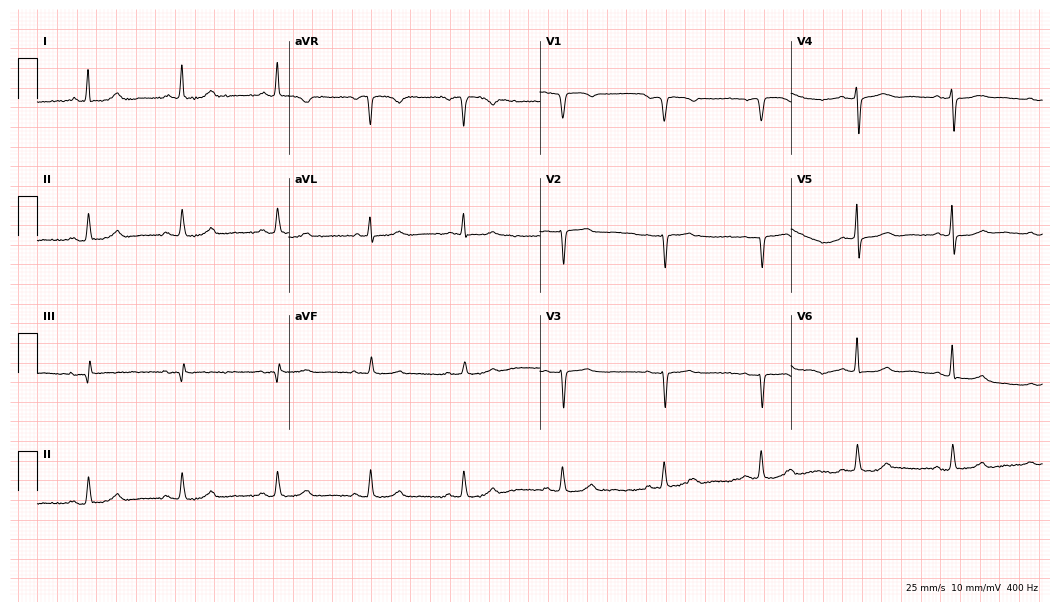
12-lead ECG from a woman, 61 years old. Screened for six findings — first-degree AV block, right bundle branch block (RBBB), left bundle branch block (LBBB), sinus bradycardia, atrial fibrillation (AF), sinus tachycardia — none is recorded.